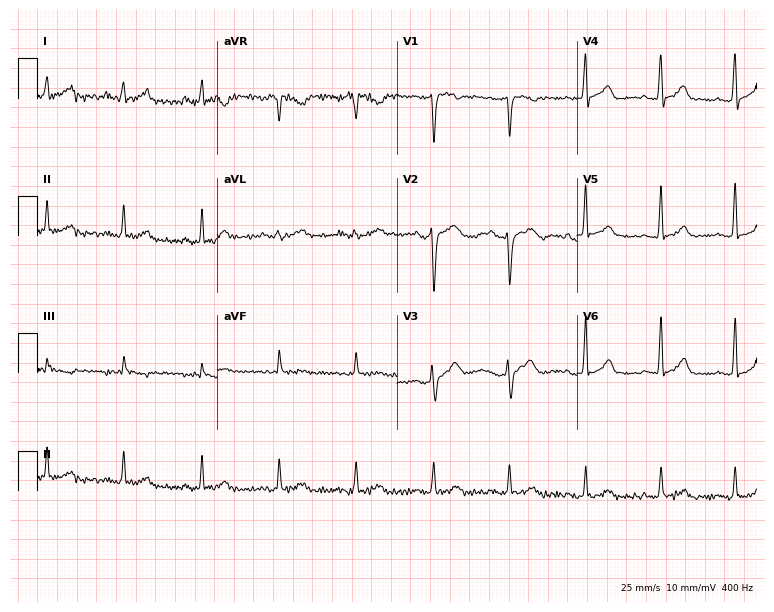
ECG (7.3-second recording at 400 Hz) — a female, 72 years old. Screened for six findings — first-degree AV block, right bundle branch block, left bundle branch block, sinus bradycardia, atrial fibrillation, sinus tachycardia — none is recorded.